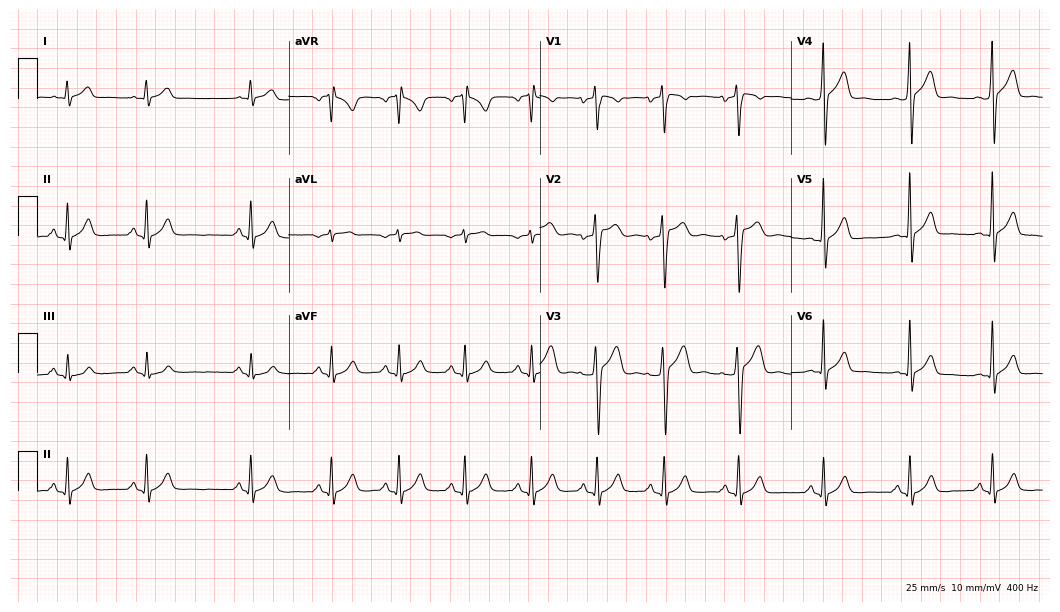
12-lead ECG from a 31-year-old male patient. Screened for six findings — first-degree AV block, right bundle branch block, left bundle branch block, sinus bradycardia, atrial fibrillation, sinus tachycardia — none is recorded.